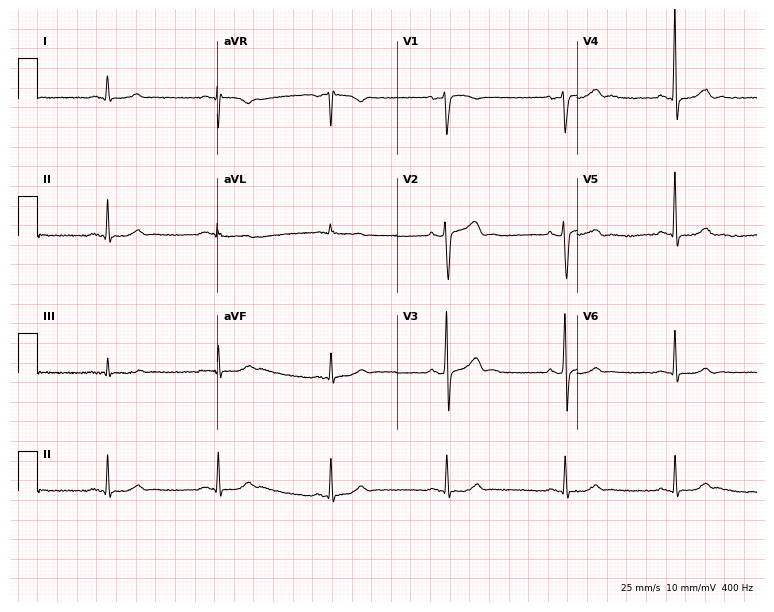
Electrocardiogram, a male patient, 62 years old. Overall reading on record: normal ECG.